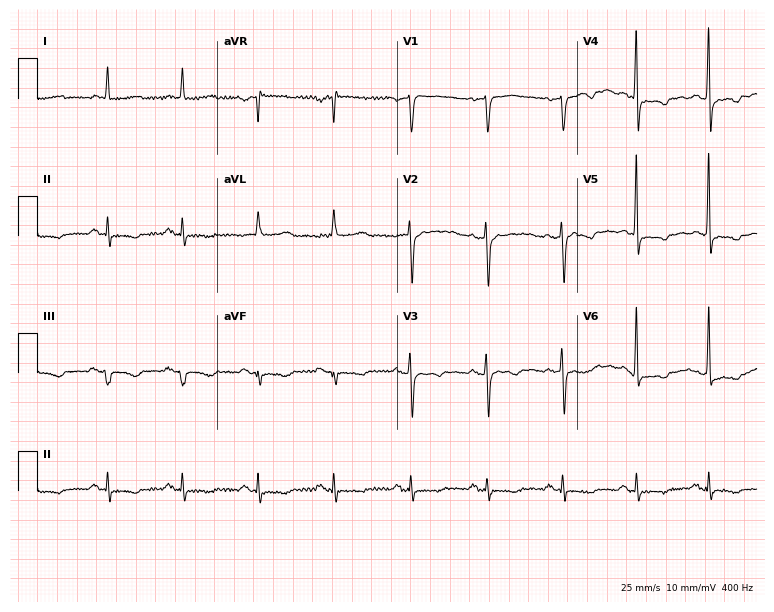
12-lead ECG from a 65-year-old female (7.3-second recording at 400 Hz). No first-degree AV block, right bundle branch block, left bundle branch block, sinus bradycardia, atrial fibrillation or sinus tachycardia recorded for this tracing.